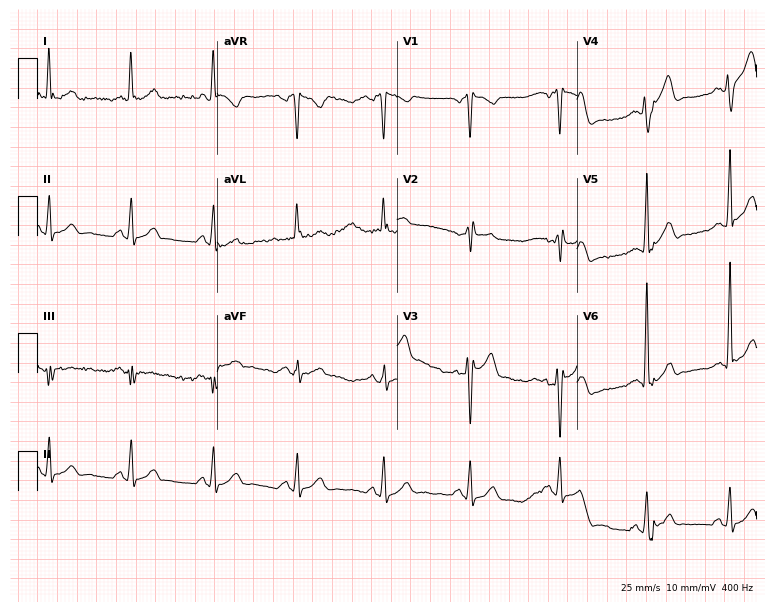
Standard 12-lead ECG recorded from a 31-year-old man. None of these six findings is recorded: first-degree AV block, right bundle branch block, left bundle branch block, sinus bradycardia, atrial fibrillation, sinus tachycardia.